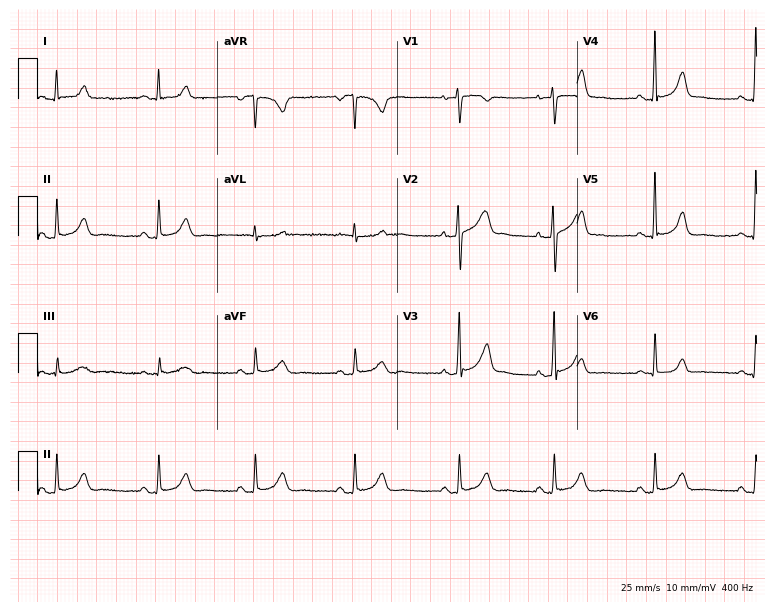
12-lead ECG from a 58-year-old female patient. No first-degree AV block, right bundle branch block, left bundle branch block, sinus bradycardia, atrial fibrillation or sinus tachycardia recorded for this tracing. Other findings, if any, are not listed.